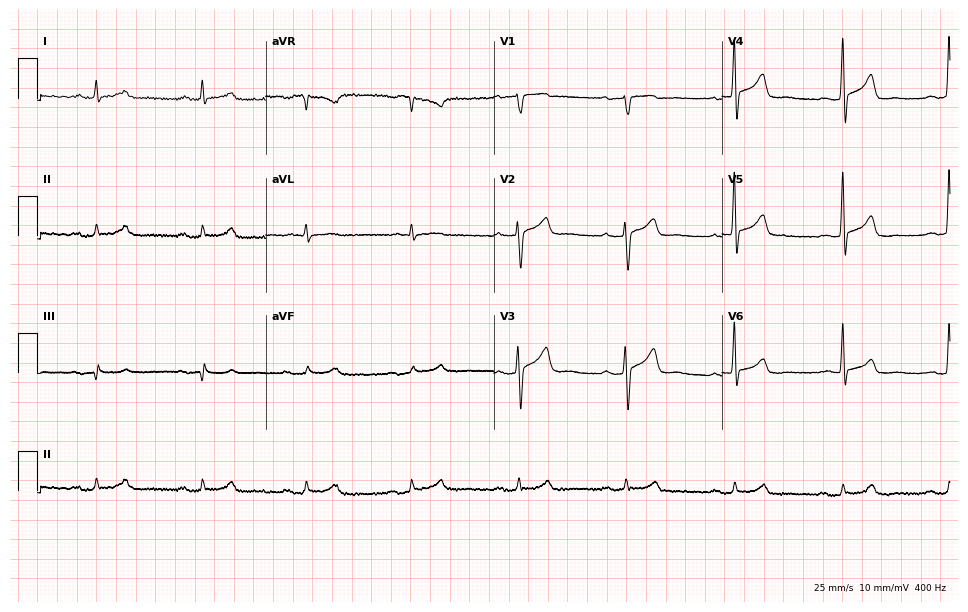
Electrocardiogram (9.3-second recording at 400 Hz), a man, 73 years old. Of the six screened findings (first-degree AV block, right bundle branch block (RBBB), left bundle branch block (LBBB), sinus bradycardia, atrial fibrillation (AF), sinus tachycardia), none is recorded. Findings outside these six are not listed.